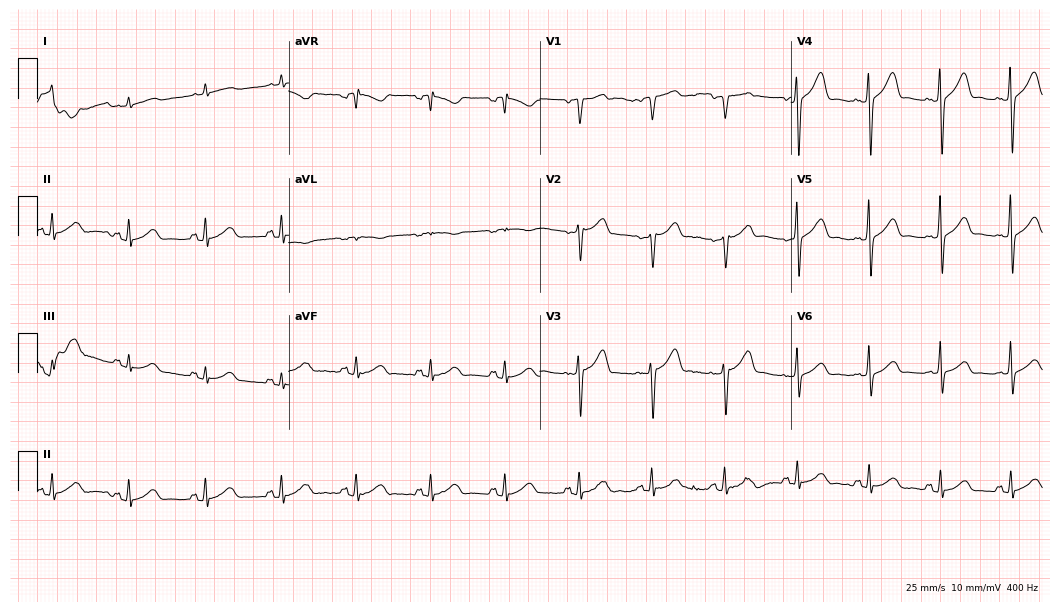
Electrocardiogram, a male, 69 years old. Of the six screened findings (first-degree AV block, right bundle branch block, left bundle branch block, sinus bradycardia, atrial fibrillation, sinus tachycardia), none is recorded. Findings outside these six are not listed.